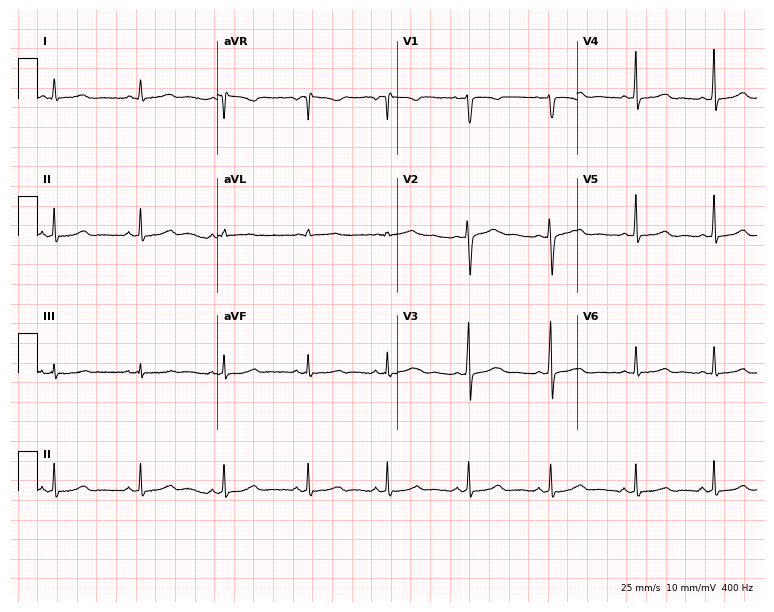
Standard 12-lead ECG recorded from a 30-year-old female (7.3-second recording at 400 Hz). Read as a normal ECG.